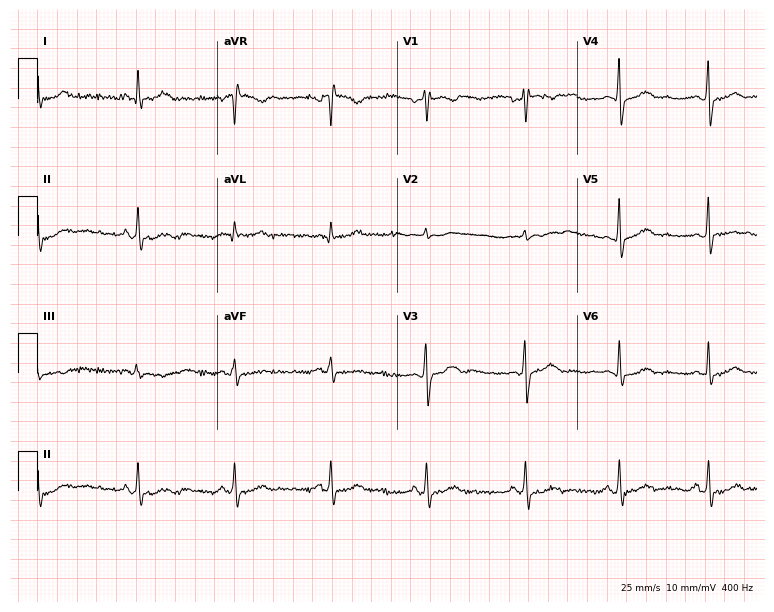
Standard 12-lead ECG recorded from a 36-year-old female patient (7.3-second recording at 400 Hz). Read as a normal ECG.